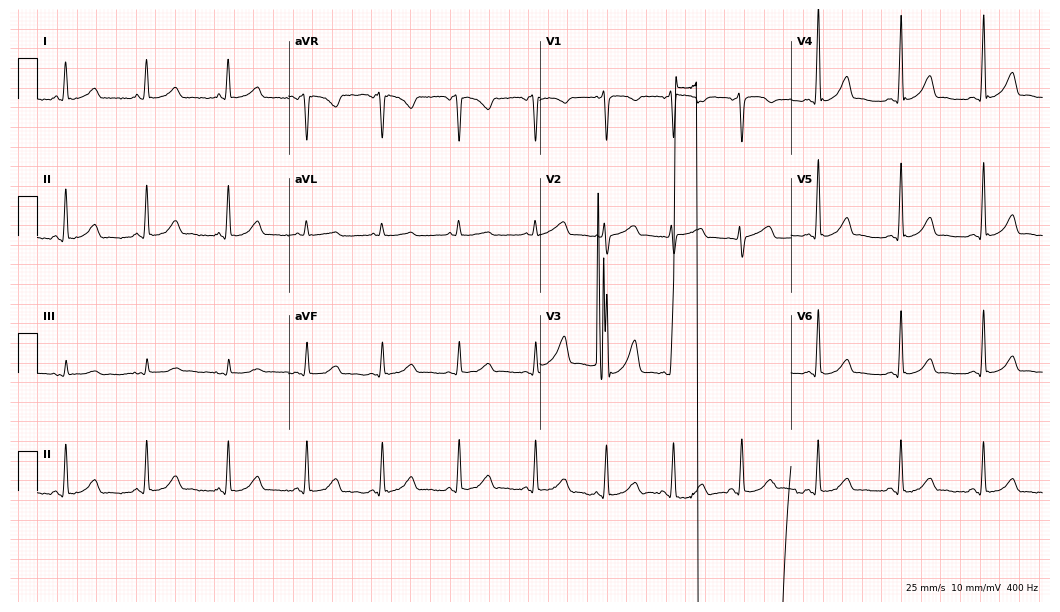
12-lead ECG from a woman, 30 years old. Labelled as a normal ECG.